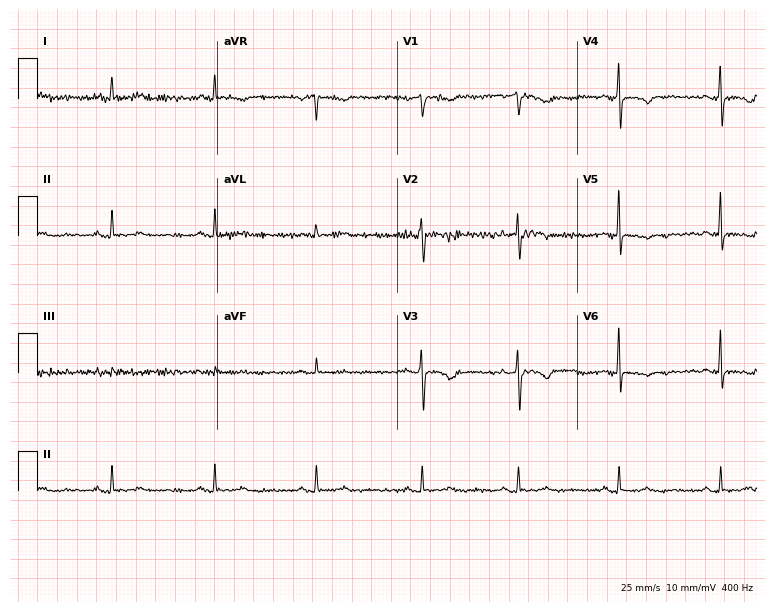
12-lead ECG from a 54-year-old female. Screened for six findings — first-degree AV block, right bundle branch block, left bundle branch block, sinus bradycardia, atrial fibrillation, sinus tachycardia — none is recorded.